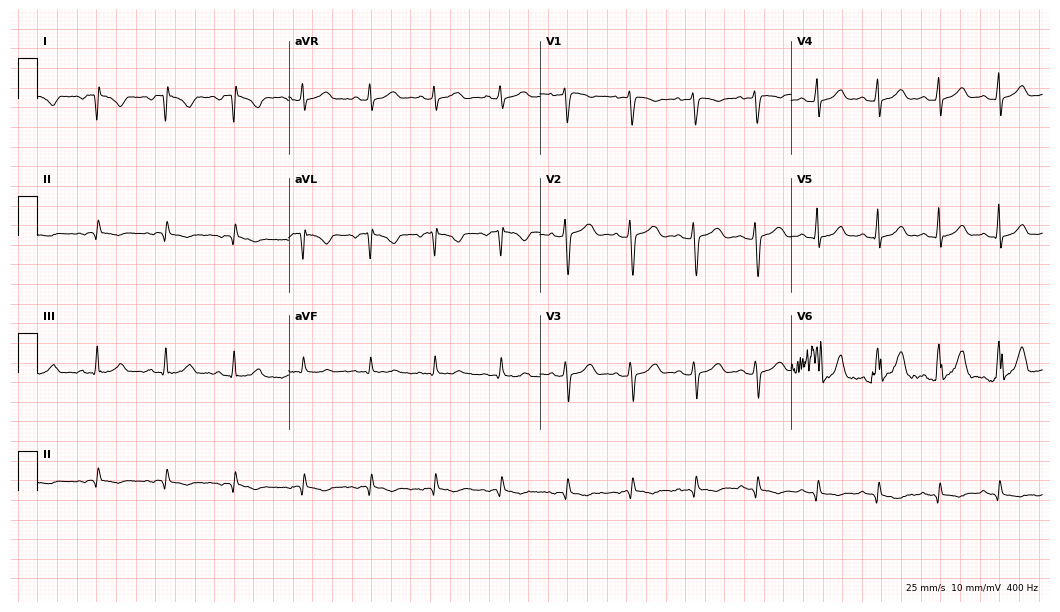
ECG — a female, 32 years old. Screened for six findings — first-degree AV block, right bundle branch block (RBBB), left bundle branch block (LBBB), sinus bradycardia, atrial fibrillation (AF), sinus tachycardia — none is recorded. Findings outside these six are not listed.